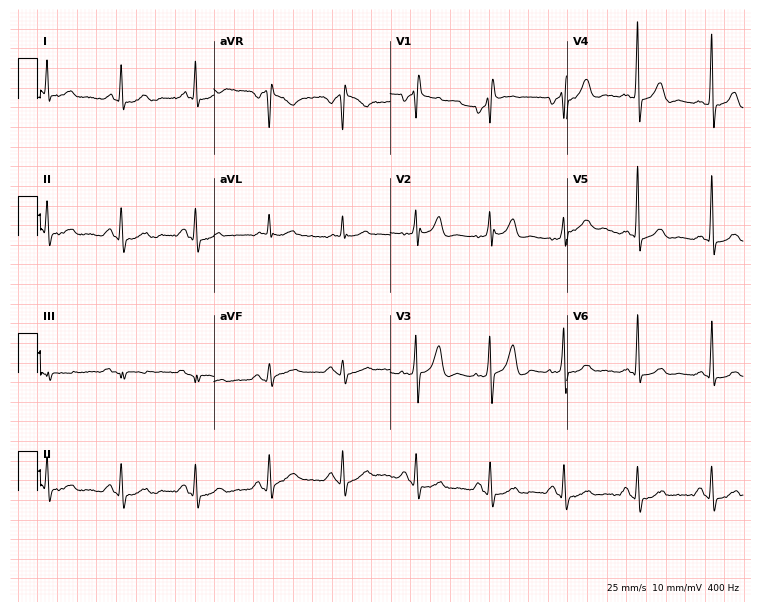
12-lead ECG from a 74-year-old male. No first-degree AV block, right bundle branch block (RBBB), left bundle branch block (LBBB), sinus bradycardia, atrial fibrillation (AF) or sinus tachycardia recorded for this tracing.